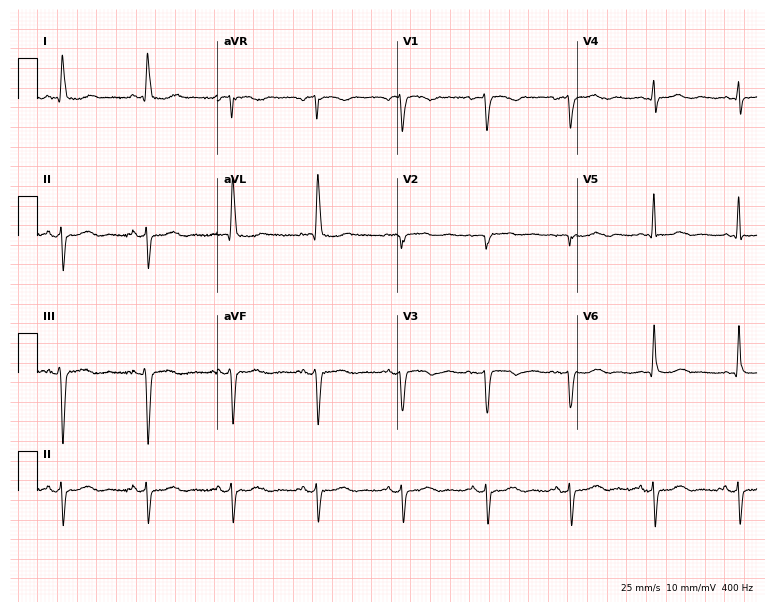
12-lead ECG from an 80-year-old woman (7.3-second recording at 400 Hz). No first-degree AV block, right bundle branch block (RBBB), left bundle branch block (LBBB), sinus bradycardia, atrial fibrillation (AF) or sinus tachycardia recorded for this tracing. Only these six findings were labelled.